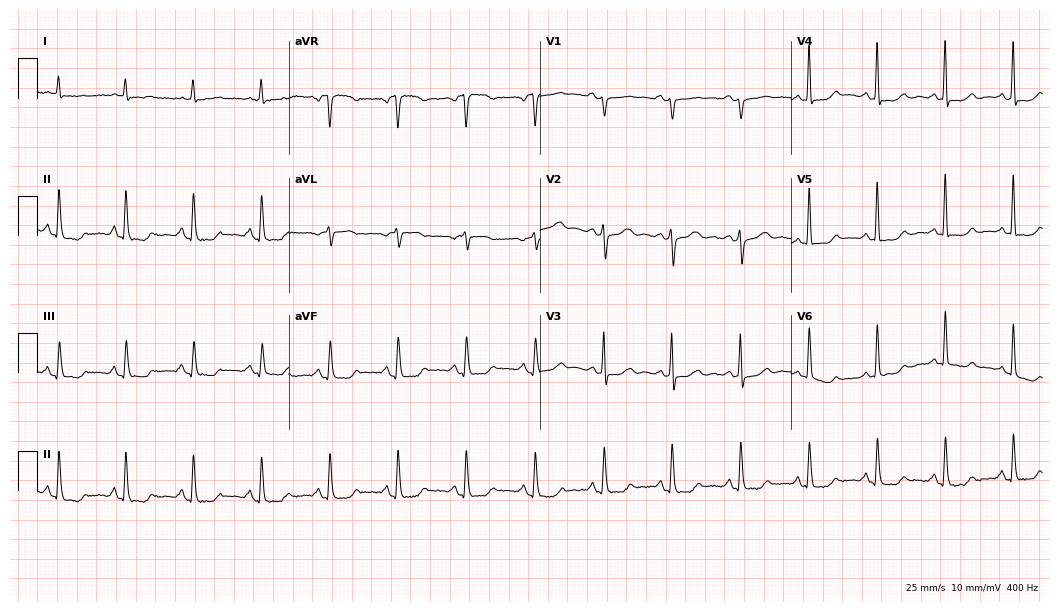
Resting 12-lead electrocardiogram. Patient: a female, 82 years old. None of these six findings is recorded: first-degree AV block, right bundle branch block, left bundle branch block, sinus bradycardia, atrial fibrillation, sinus tachycardia.